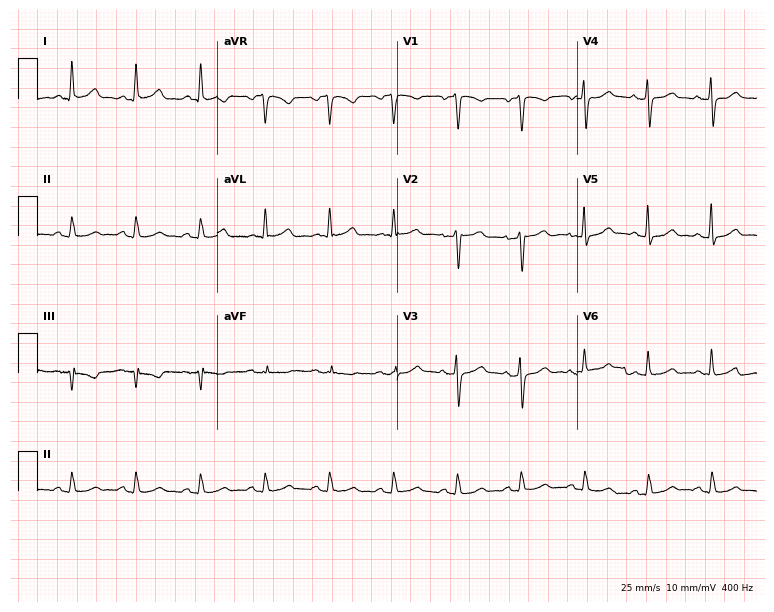
Electrocardiogram (7.3-second recording at 400 Hz), a 51-year-old male. Of the six screened findings (first-degree AV block, right bundle branch block, left bundle branch block, sinus bradycardia, atrial fibrillation, sinus tachycardia), none is recorded.